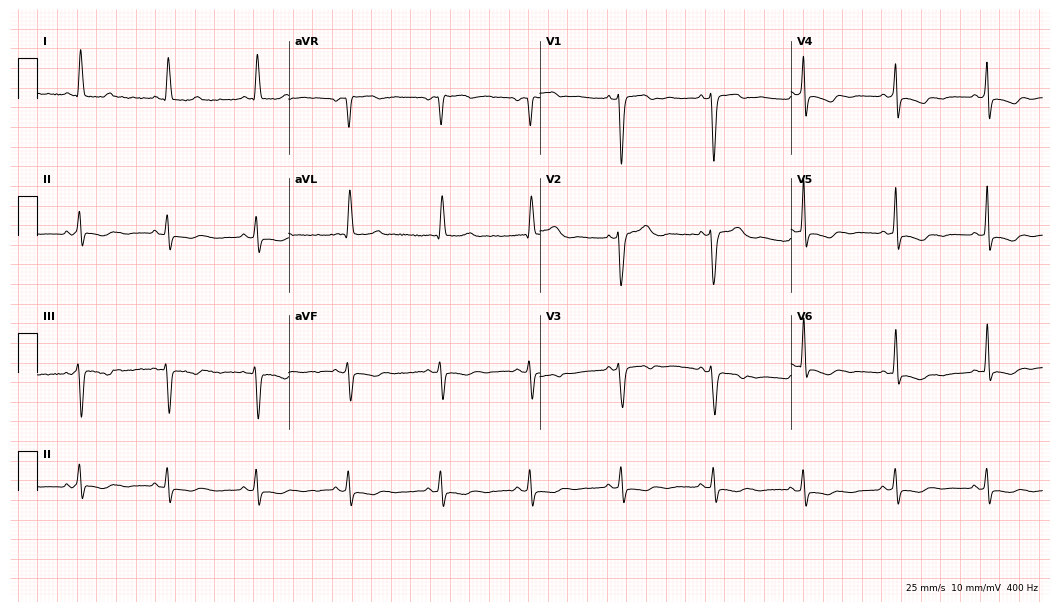
12-lead ECG (10.2-second recording at 400 Hz) from a 74-year-old woman. Screened for six findings — first-degree AV block, right bundle branch block, left bundle branch block, sinus bradycardia, atrial fibrillation, sinus tachycardia — none is recorded.